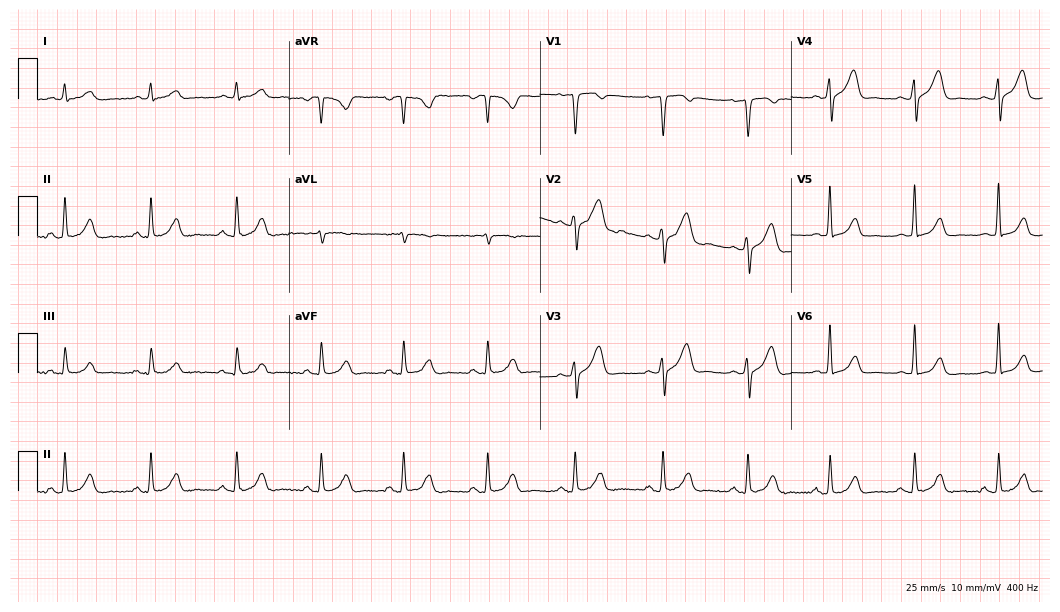
Electrocardiogram (10.2-second recording at 400 Hz), a male patient, 43 years old. Overall reading on record: normal ECG.